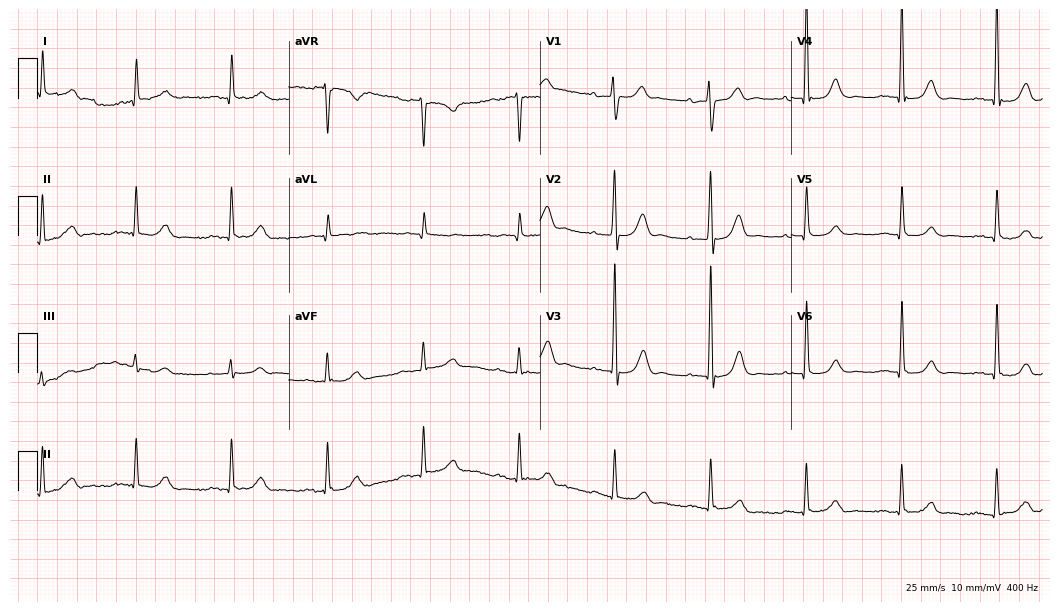
Resting 12-lead electrocardiogram. Patient: a male, 83 years old. Read as a normal ECG.